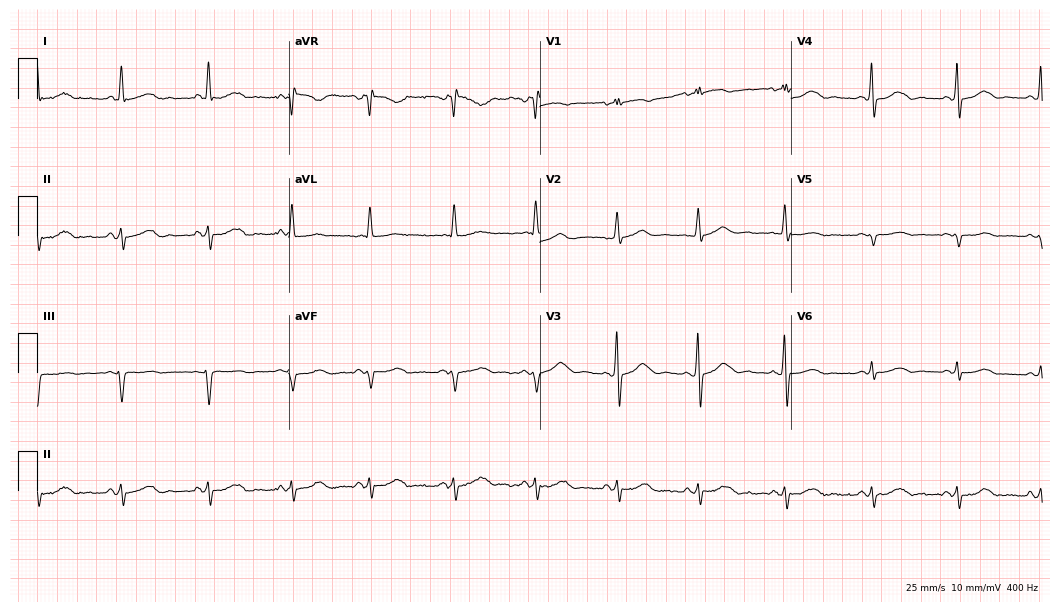
Standard 12-lead ECG recorded from a 69-year-old woman (10.2-second recording at 400 Hz). None of these six findings is recorded: first-degree AV block, right bundle branch block (RBBB), left bundle branch block (LBBB), sinus bradycardia, atrial fibrillation (AF), sinus tachycardia. Other findings, if any, are not listed.